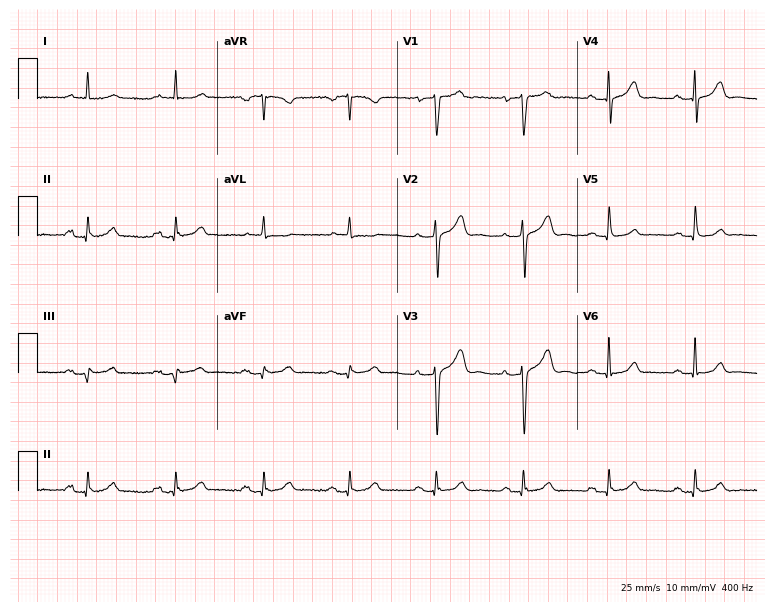
12-lead ECG from a 73-year-old male. Recorded interpretation: within normal limits.